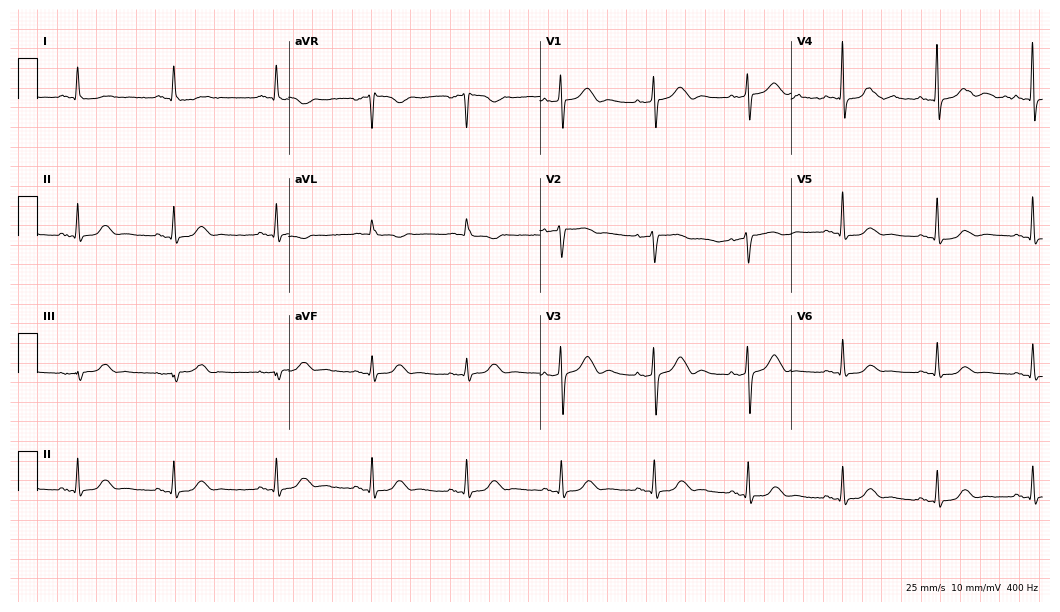
Electrocardiogram (10.2-second recording at 400 Hz), a female, 82 years old. Overall reading on record: normal ECG.